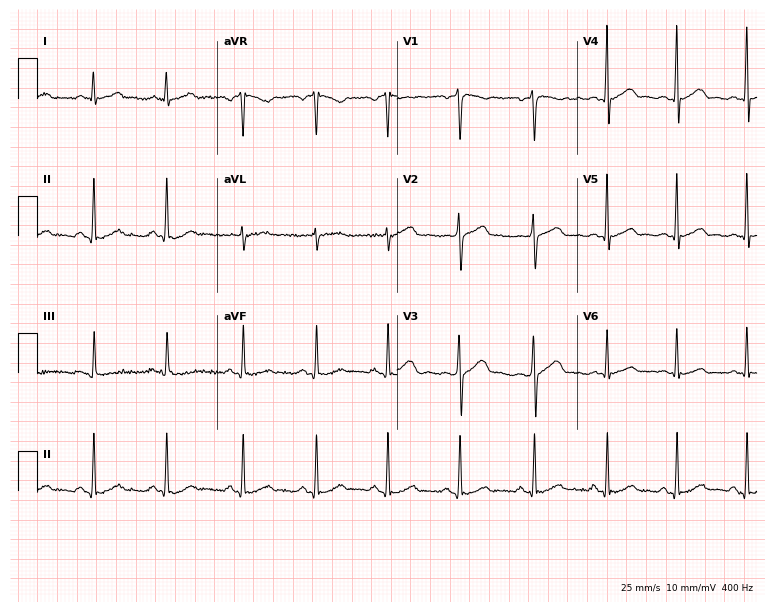
Resting 12-lead electrocardiogram. Patient: a 40-year-old male. None of these six findings is recorded: first-degree AV block, right bundle branch block, left bundle branch block, sinus bradycardia, atrial fibrillation, sinus tachycardia. Other findings, if any, are not listed.